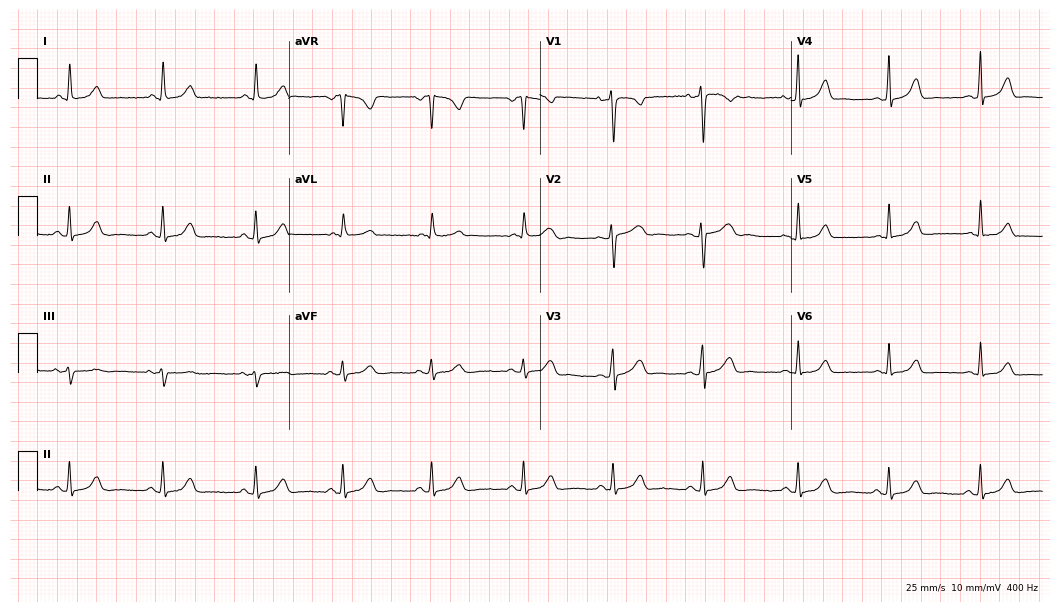
Resting 12-lead electrocardiogram. Patient: a female, 28 years old. Read as a normal ECG.